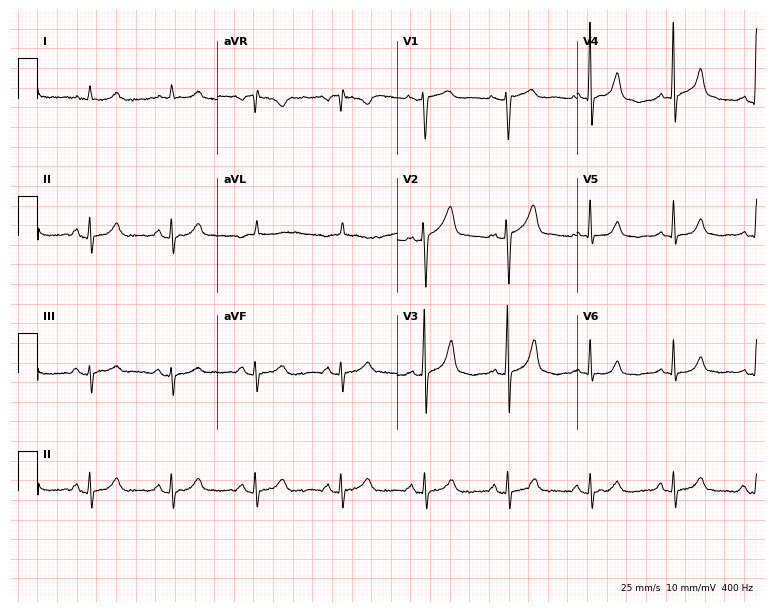
ECG (7.3-second recording at 400 Hz) — a 74-year-old female. Screened for six findings — first-degree AV block, right bundle branch block (RBBB), left bundle branch block (LBBB), sinus bradycardia, atrial fibrillation (AF), sinus tachycardia — none is recorded. Findings outside these six are not listed.